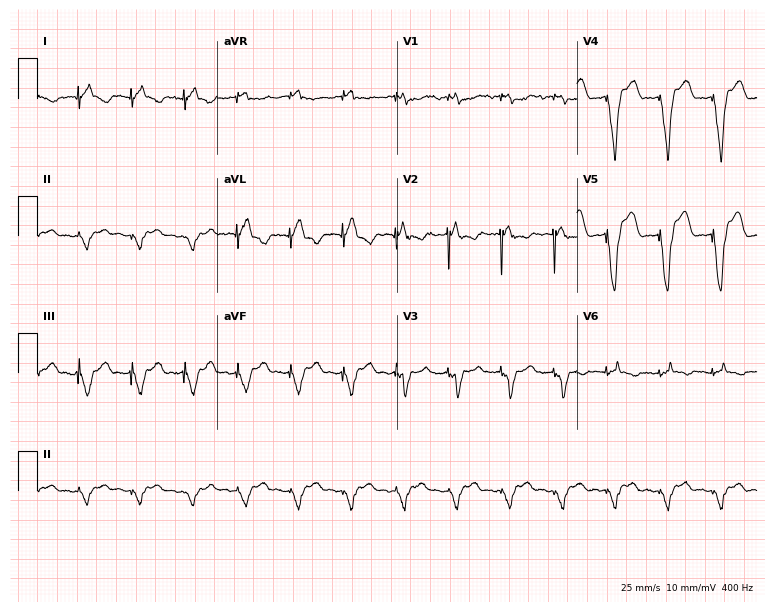
Resting 12-lead electrocardiogram (7.3-second recording at 400 Hz). Patient: a female, 83 years old. None of these six findings is recorded: first-degree AV block, right bundle branch block, left bundle branch block, sinus bradycardia, atrial fibrillation, sinus tachycardia. Only these six findings were labelled.